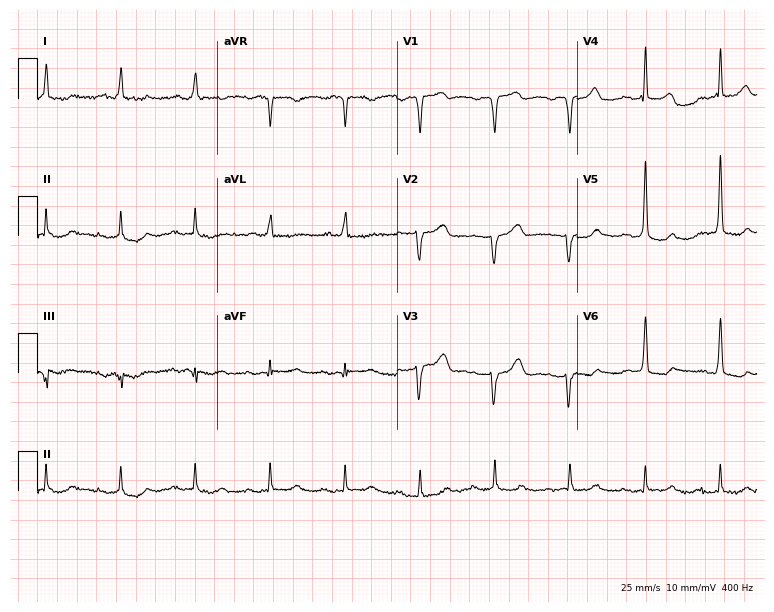
Standard 12-lead ECG recorded from a man, 67 years old. None of these six findings is recorded: first-degree AV block, right bundle branch block, left bundle branch block, sinus bradycardia, atrial fibrillation, sinus tachycardia.